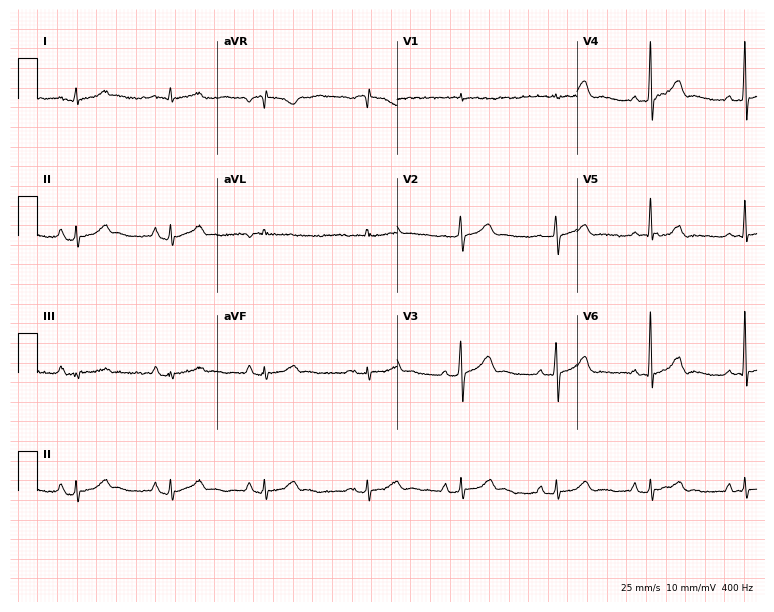
Standard 12-lead ECG recorded from a male patient, 83 years old (7.3-second recording at 400 Hz). Read as a normal ECG.